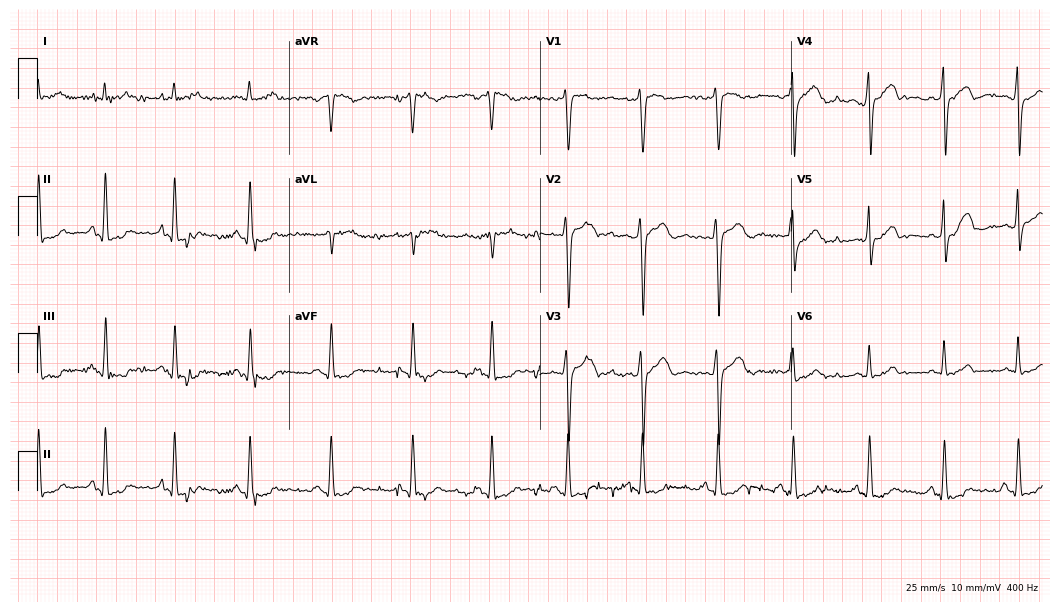
12-lead ECG (10.2-second recording at 400 Hz) from a woman, 32 years old. Labelled as a normal ECG.